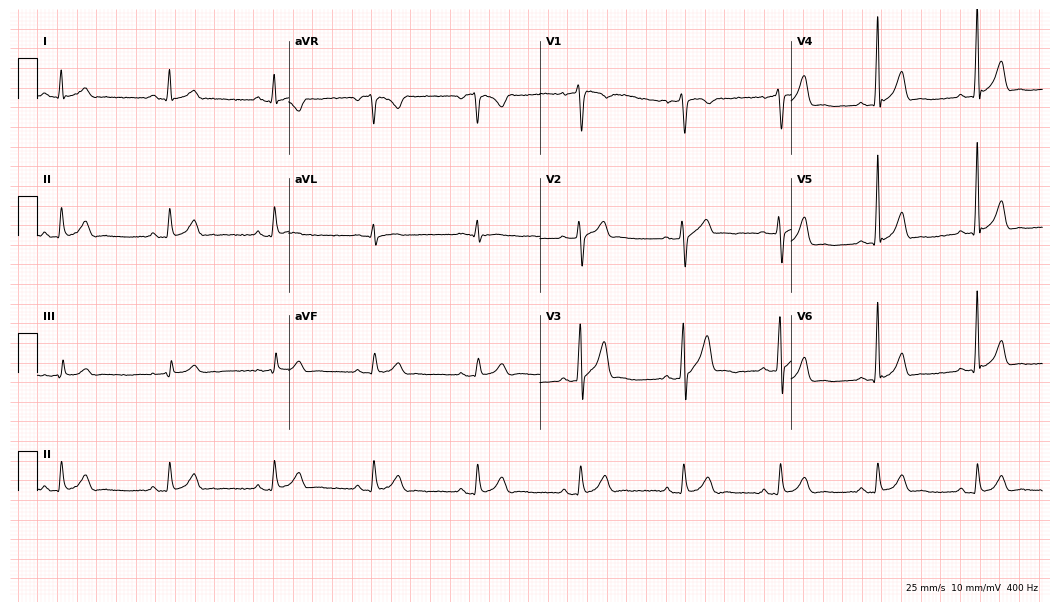
12-lead ECG (10.2-second recording at 400 Hz) from a 36-year-old male. Labelled as a normal ECG.